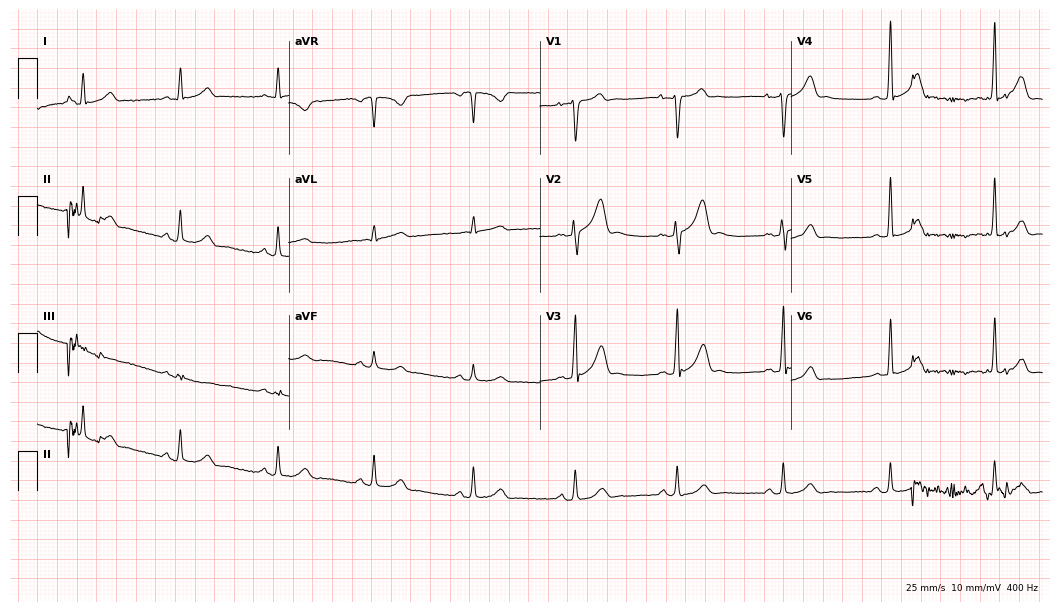
ECG — a 46-year-old man. Labelled as a normal ECG.